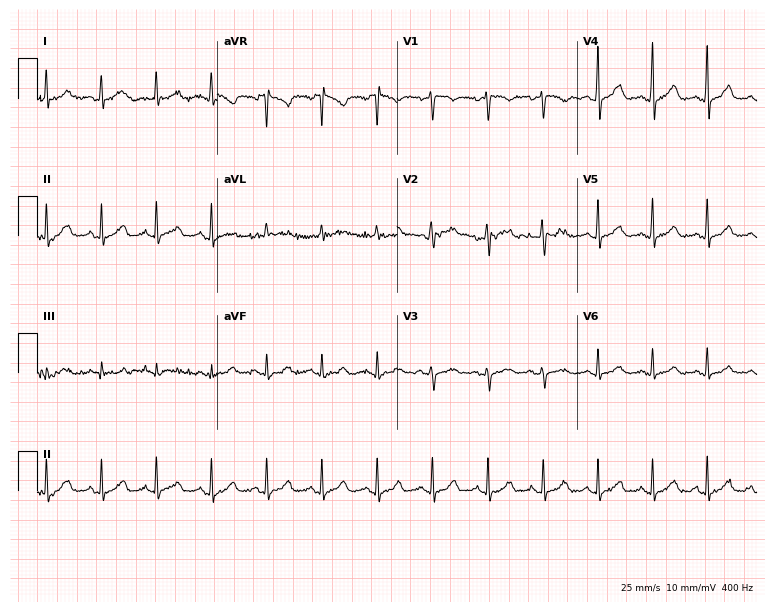
Standard 12-lead ECG recorded from a 45-year-old woman. The tracing shows sinus tachycardia (a sinus rate of 100 beats per minute or more).